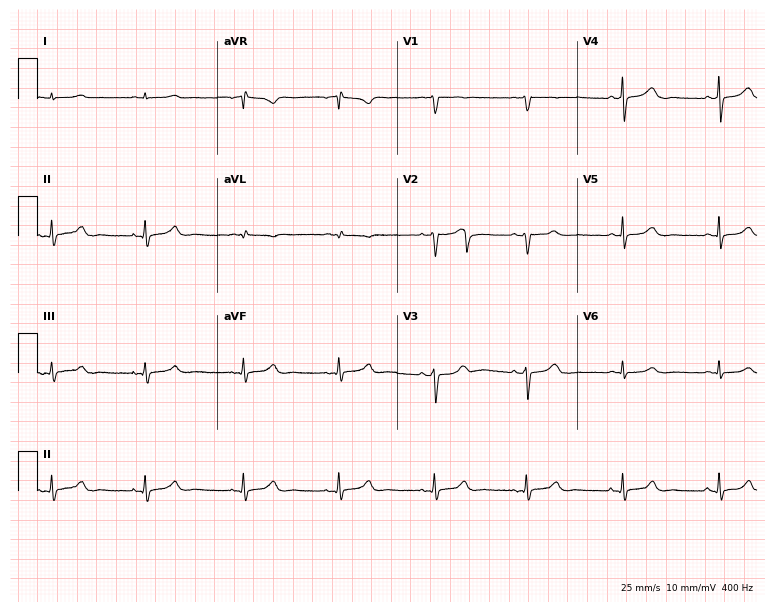
ECG (7.3-second recording at 400 Hz) — a 71-year-old male patient. Labelled as a normal ECG.